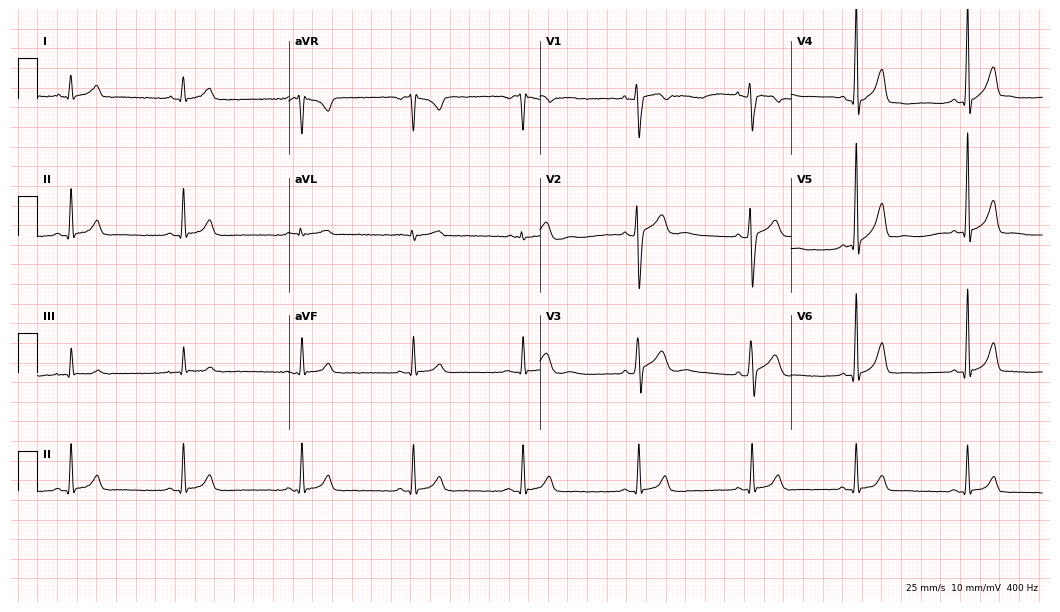
Standard 12-lead ECG recorded from a male, 20 years old (10.2-second recording at 400 Hz). None of these six findings is recorded: first-degree AV block, right bundle branch block (RBBB), left bundle branch block (LBBB), sinus bradycardia, atrial fibrillation (AF), sinus tachycardia.